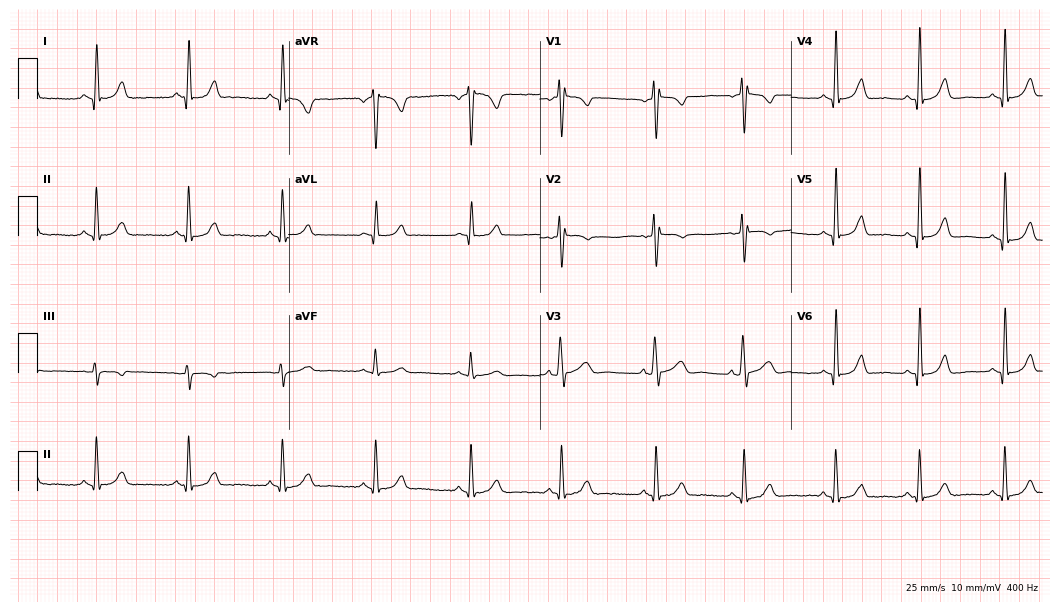
12-lead ECG from a female patient, 42 years old. Recorded interpretation: within normal limits.